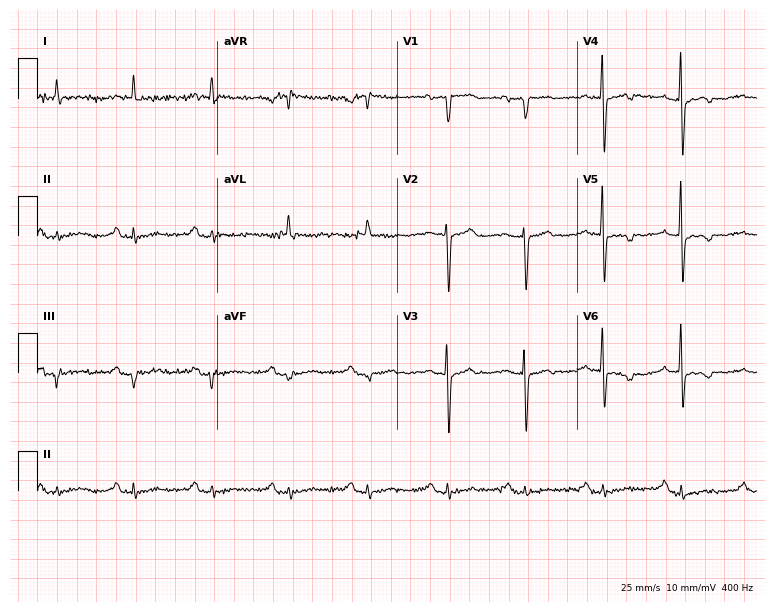
ECG (7.3-second recording at 400 Hz) — a 79-year-old woman. Screened for six findings — first-degree AV block, right bundle branch block, left bundle branch block, sinus bradycardia, atrial fibrillation, sinus tachycardia — none is recorded. Other findings, if any, are not listed.